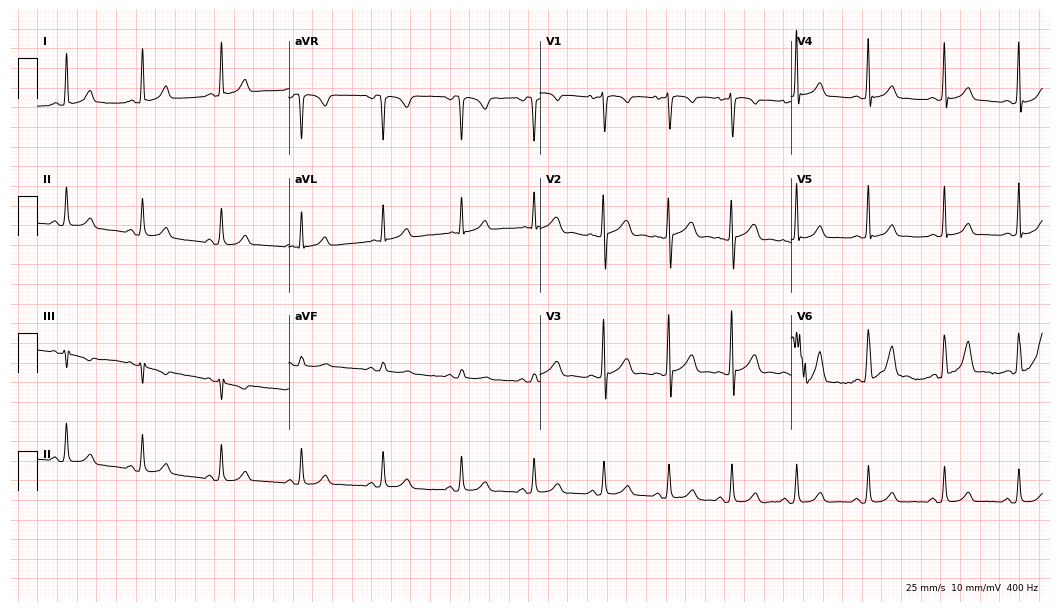
Standard 12-lead ECG recorded from an 18-year-old woman. Read as a normal ECG.